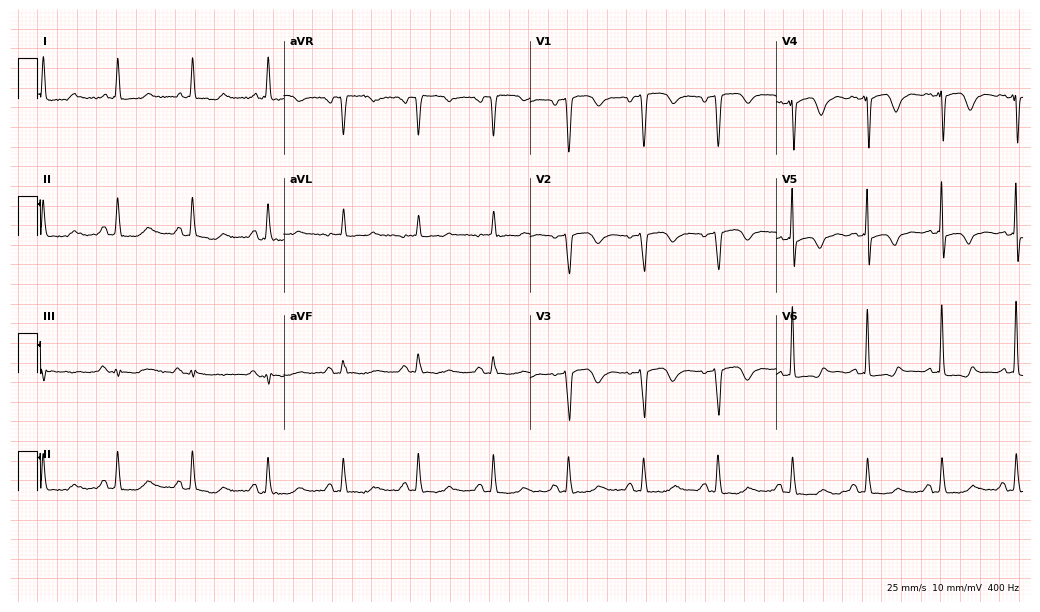
Electrocardiogram, a 75-year-old woman. Overall reading on record: normal ECG.